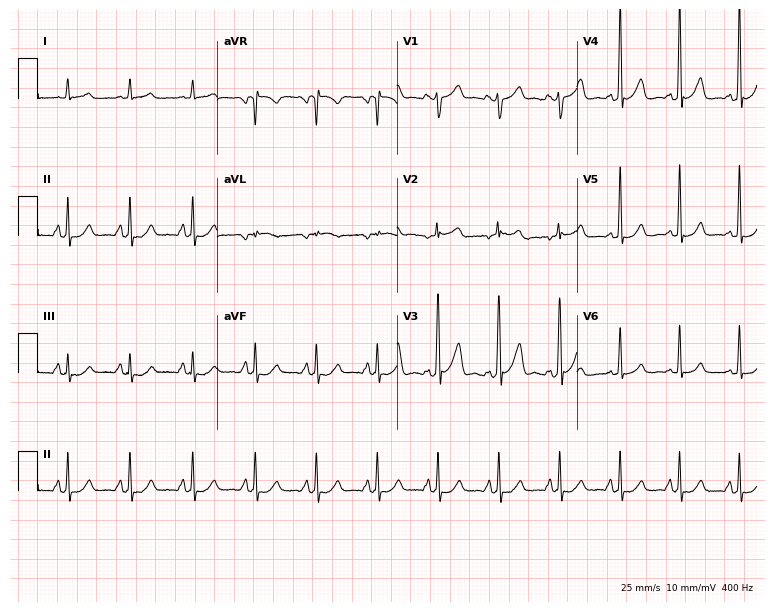
ECG (7.3-second recording at 400 Hz) — a 70-year-old male. Labelled as a normal ECG.